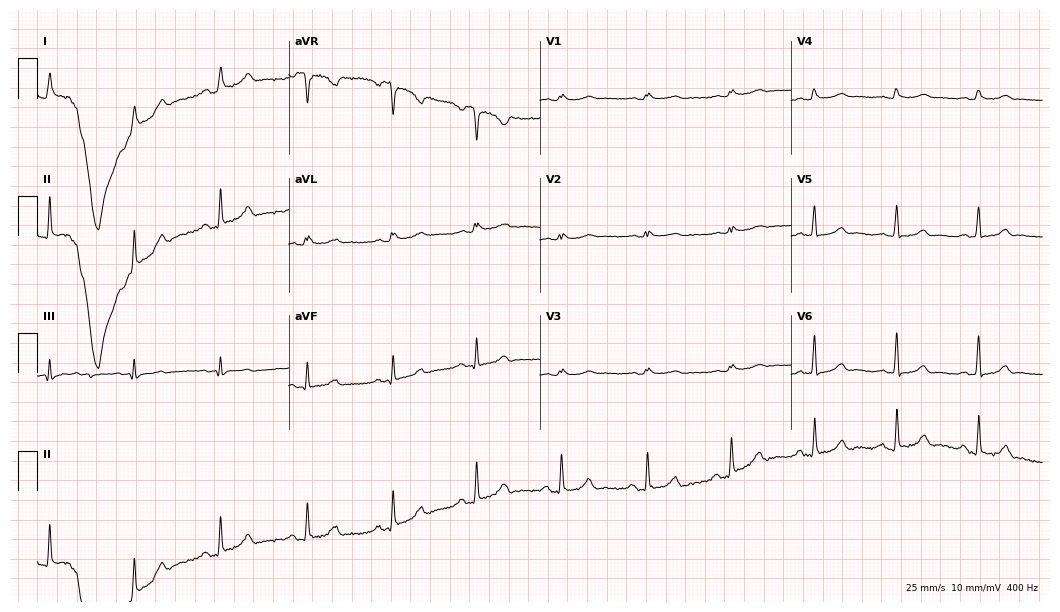
12-lead ECG from a woman, 70 years old. No first-degree AV block, right bundle branch block (RBBB), left bundle branch block (LBBB), sinus bradycardia, atrial fibrillation (AF) or sinus tachycardia recorded for this tracing.